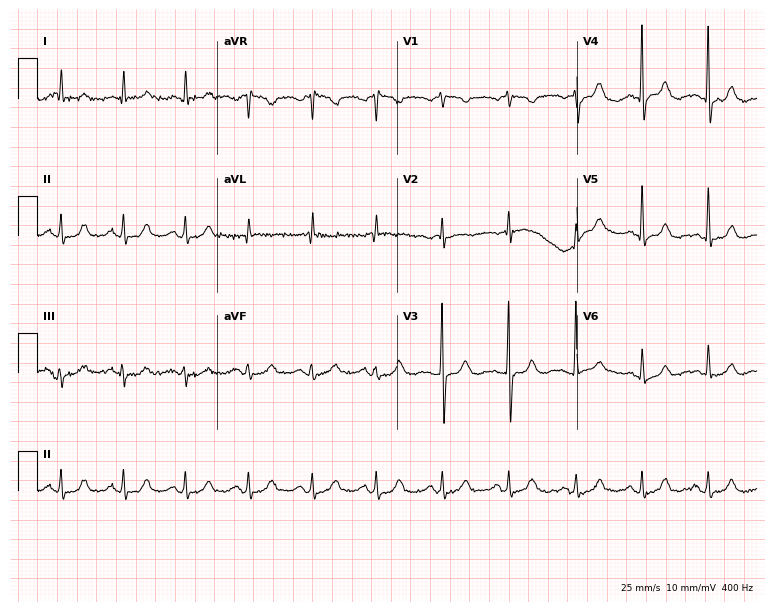
12-lead ECG (7.3-second recording at 400 Hz) from an 84-year-old female. Labelled as a normal ECG.